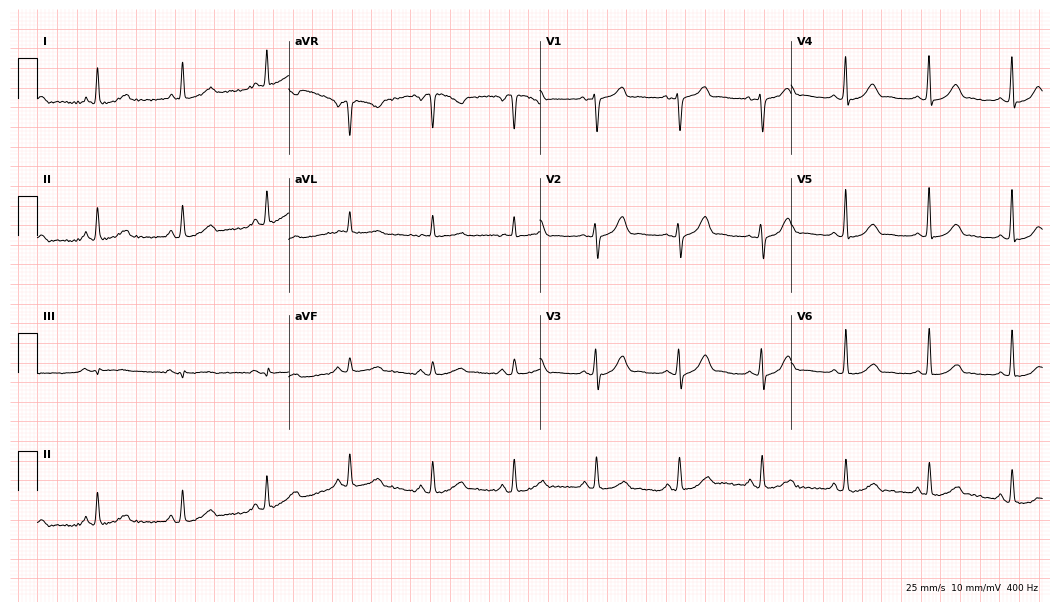
12-lead ECG from a 66-year-old woman. Screened for six findings — first-degree AV block, right bundle branch block, left bundle branch block, sinus bradycardia, atrial fibrillation, sinus tachycardia — none is recorded. Findings outside these six are not listed.